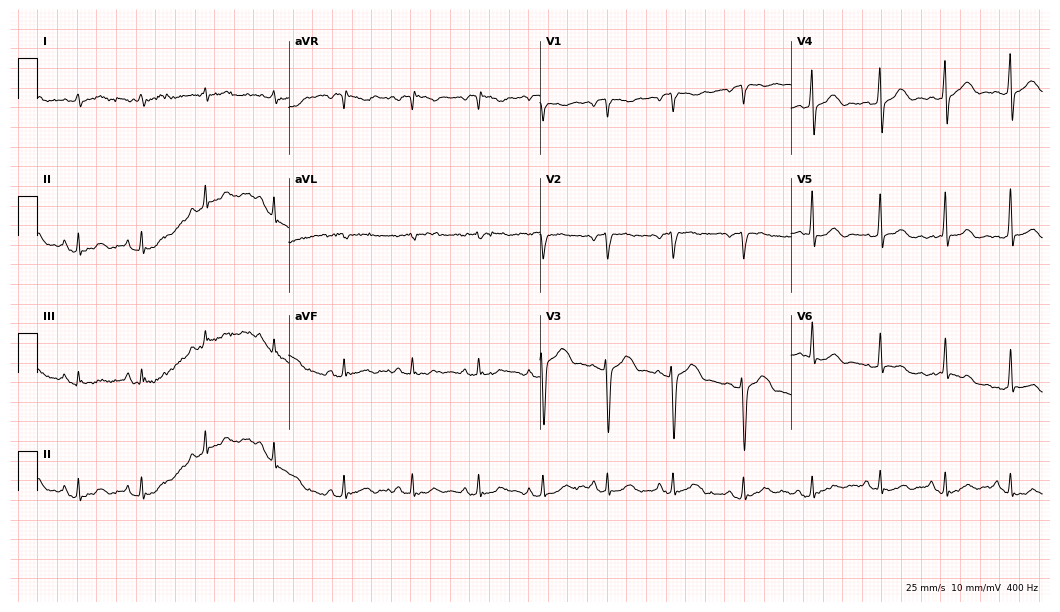
Standard 12-lead ECG recorded from a man, 31 years old (10.2-second recording at 400 Hz). None of these six findings is recorded: first-degree AV block, right bundle branch block (RBBB), left bundle branch block (LBBB), sinus bradycardia, atrial fibrillation (AF), sinus tachycardia. Other findings, if any, are not listed.